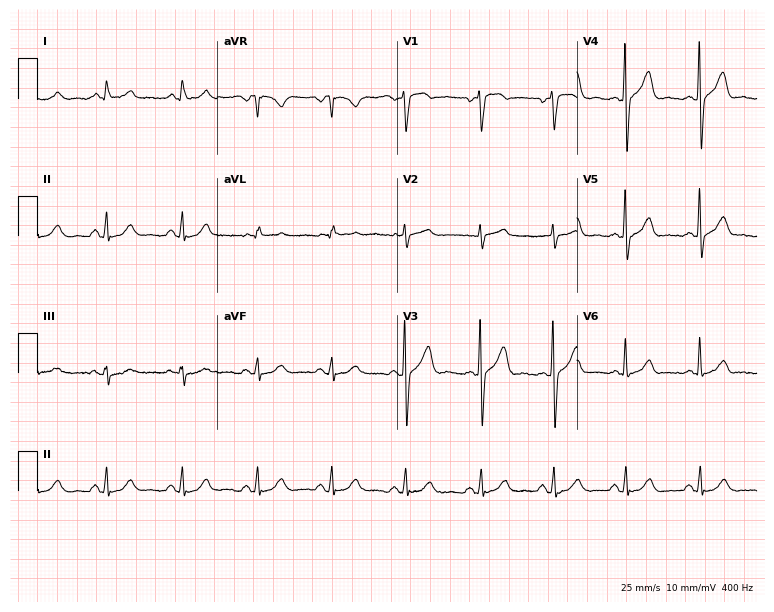
12-lead ECG from a 48-year-old man (7.3-second recording at 400 Hz). Recorded interpretation: within normal limits.